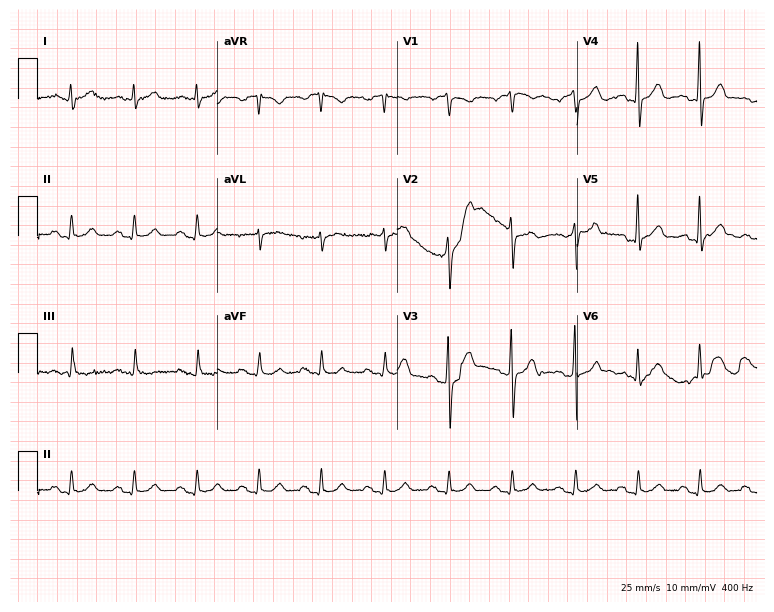
Resting 12-lead electrocardiogram. Patient: a male, 55 years old. Read as a normal ECG.